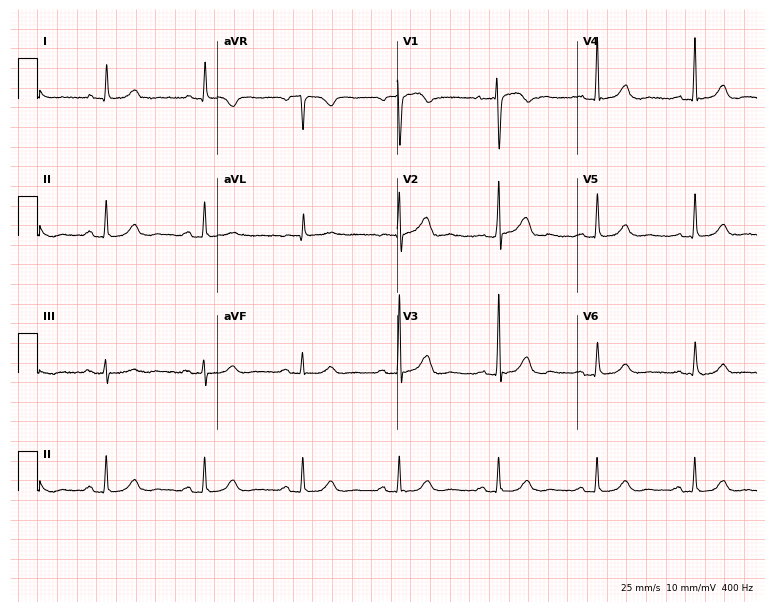
ECG (7.3-second recording at 400 Hz) — a 72-year-old female patient. Labelled as a normal ECG.